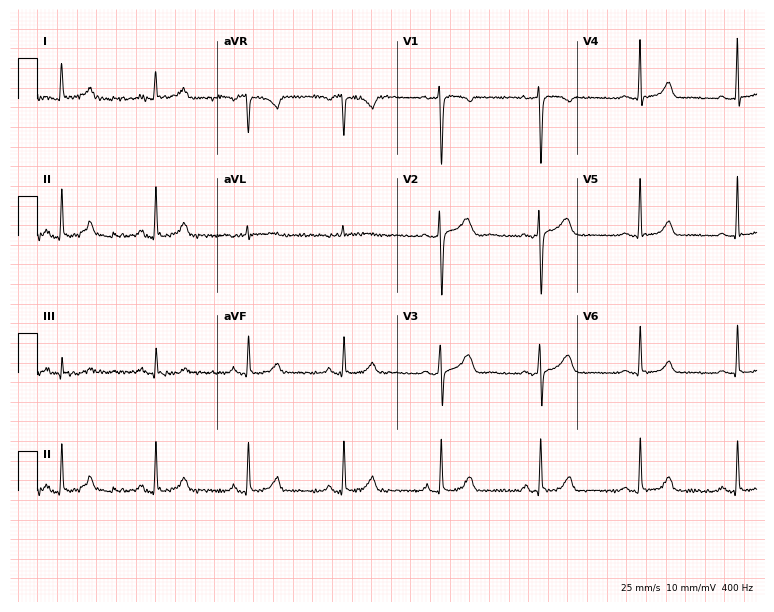
12-lead ECG (7.3-second recording at 400 Hz) from a 53-year-old woman. Labelled as a normal ECG.